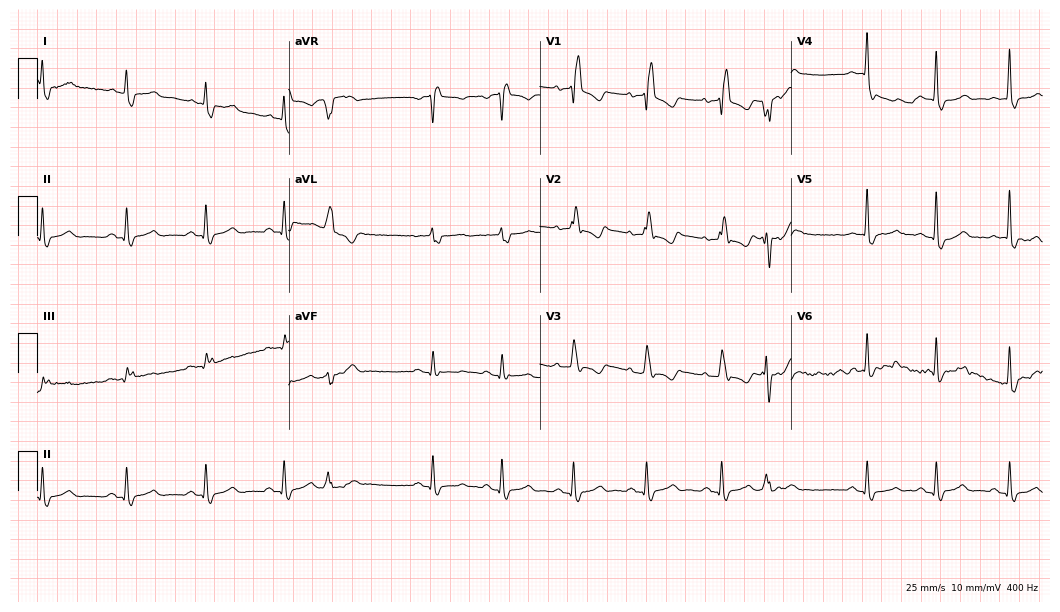
Electrocardiogram, a man, 79 years old. Of the six screened findings (first-degree AV block, right bundle branch block, left bundle branch block, sinus bradycardia, atrial fibrillation, sinus tachycardia), none is recorded. Other findings, if any, are not listed.